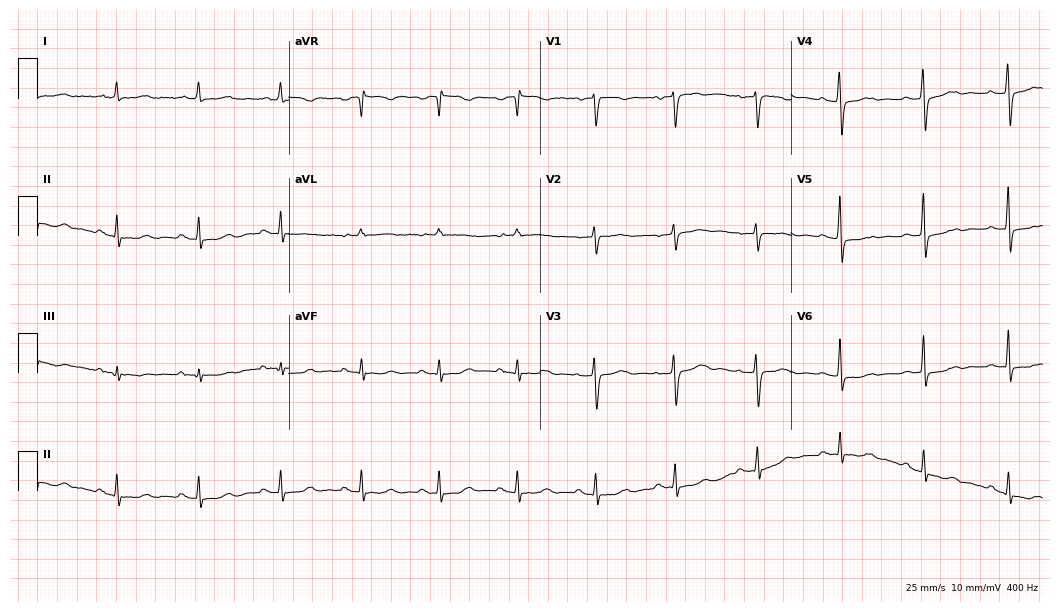
Electrocardiogram, a 56-year-old female patient. Of the six screened findings (first-degree AV block, right bundle branch block, left bundle branch block, sinus bradycardia, atrial fibrillation, sinus tachycardia), none is recorded.